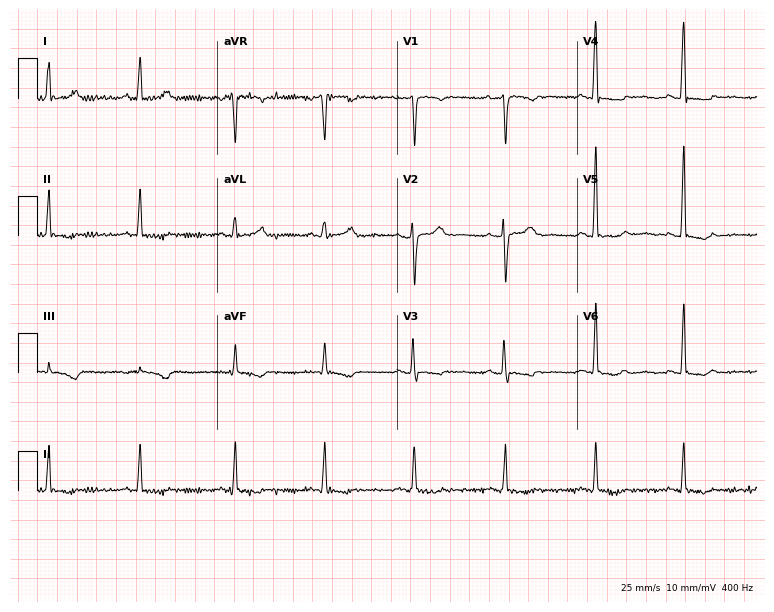
Resting 12-lead electrocardiogram. Patient: a 48-year-old female. None of these six findings is recorded: first-degree AV block, right bundle branch block, left bundle branch block, sinus bradycardia, atrial fibrillation, sinus tachycardia. Findings outside these six are not listed.